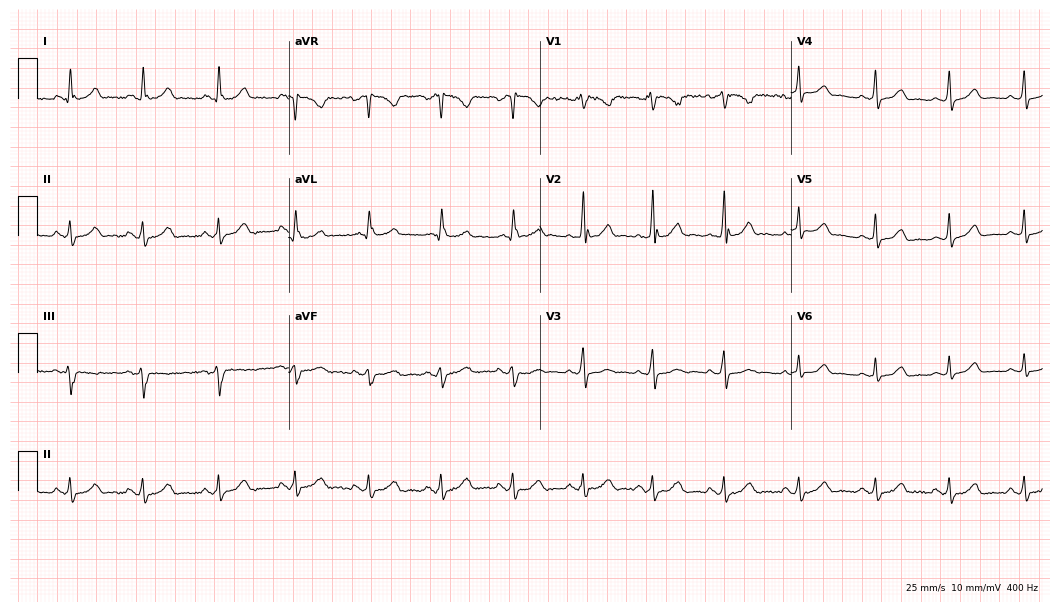
12-lead ECG from a woman, 34 years old (10.2-second recording at 400 Hz). No first-degree AV block, right bundle branch block, left bundle branch block, sinus bradycardia, atrial fibrillation or sinus tachycardia recorded for this tracing. Other findings, if any, are not listed.